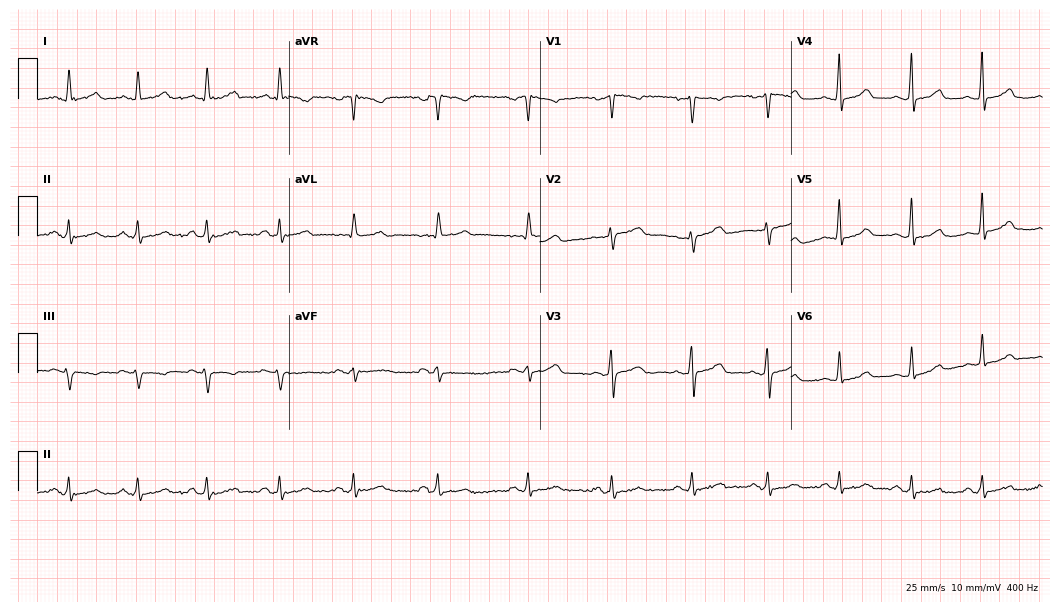
Standard 12-lead ECG recorded from a female patient, 31 years old (10.2-second recording at 400 Hz). None of these six findings is recorded: first-degree AV block, right bundle branch block, left bundle branch block, sinus bradycardia, atrial fibrillation, sinus tachycardia. Other findings, if any, are not listed.